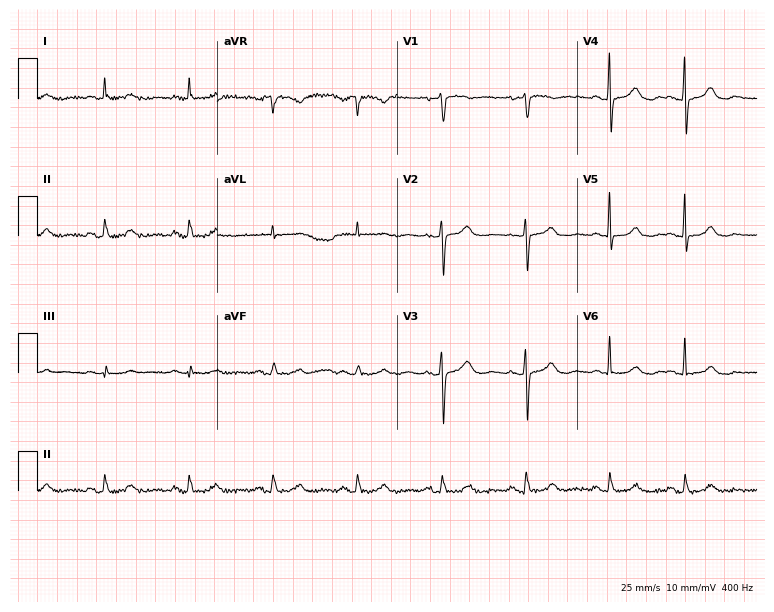
Electrocardiogram (7.3-second recording at 400 Hz), a female patient, 84 years old. Overall reading on record: normal ECG.